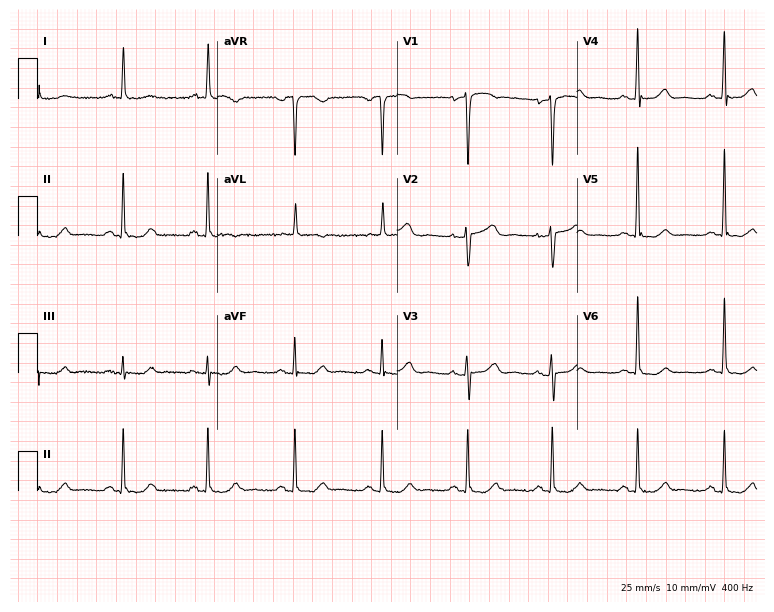
12-lead ECG (7.3-second recording at 400 Hz) from a 77-year-old woman. Labelled as a normal ECG.